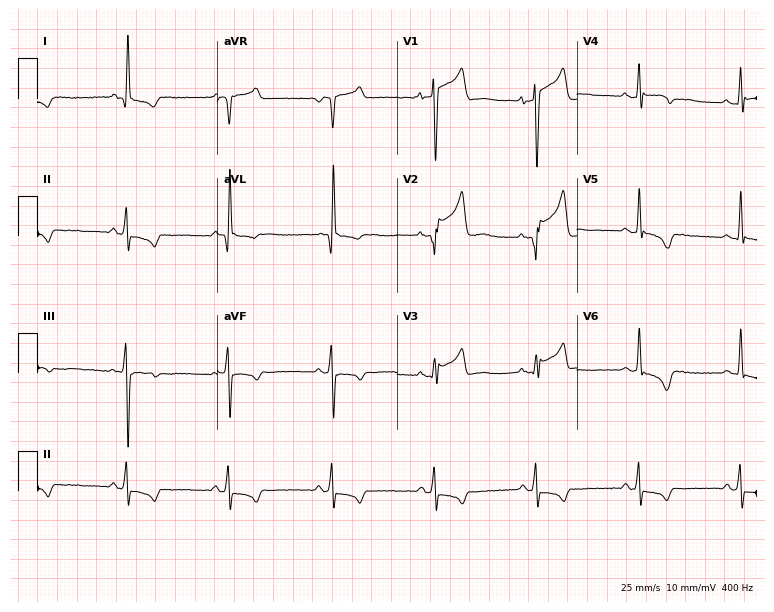
Resting 12-lead electrocardiogram. Patient: a male, 53 years old. None of these six findings is recorded: first-degree AV block, right bundle branch block, left bundle branch block, sinus bradycardia, atrial fibrillation, sinus tachycardia.